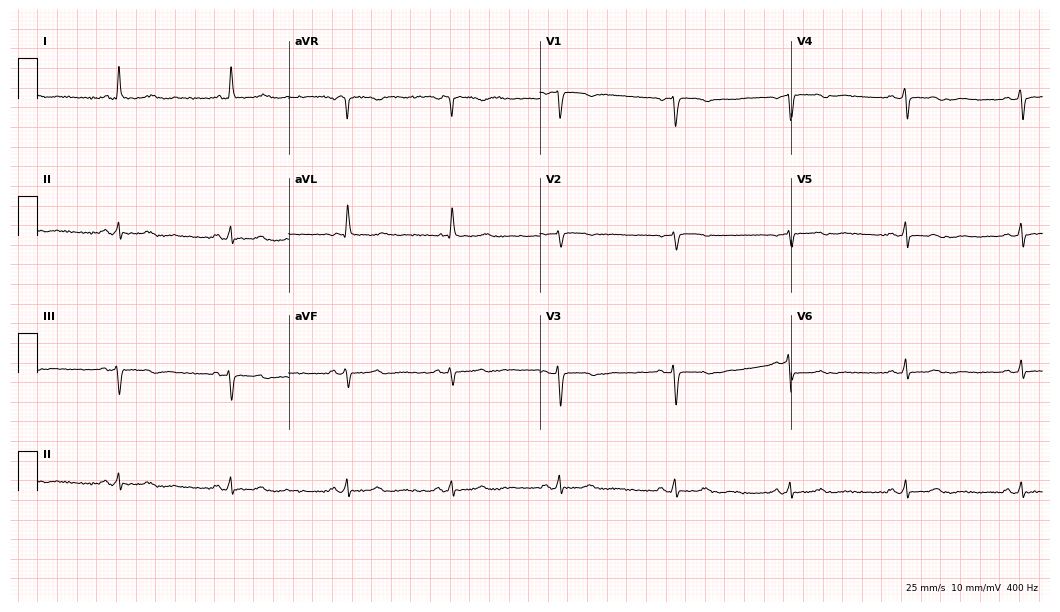
Resting 12-lead electrocardiogram (10.2-second recording at 400 Hz). Patient: a woman, 50 years old. None of these six findings is recorded: first-degree AV block, right bundle branch block, left bundle branch block, sinus bradycardia, atrial fibrillation, sinus tachycardia.